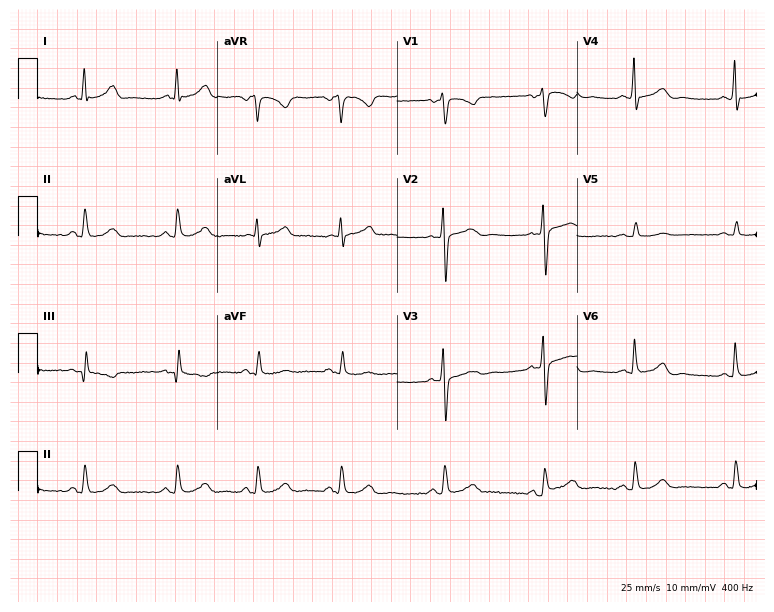
12-lead ECG (7.3-second recording at 400 Hz) from a female patient, 39 years old. Screened for six findings — first-degree AV block, right bundle branch block (RBBB), left bundle branch block (LBBB), sinus bradycardia, atrial fibrillation (AF), sinus tachycardia — none is recorded.